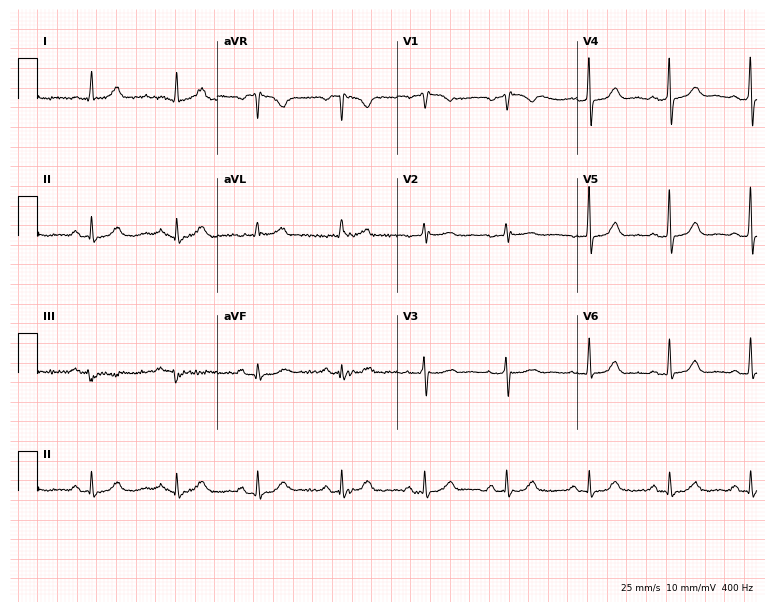
Electrocardiogram, a 66-year-old female patient. Overall reading on record: normal ECG.